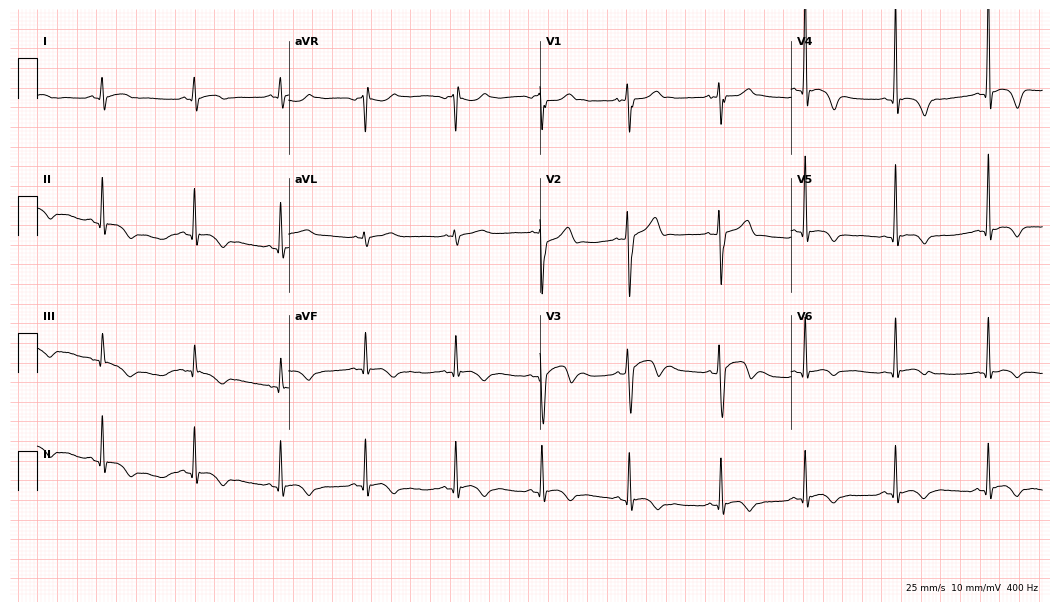
12-lead ECG from a 17-year-old man. Screened for six findings — first-degree AV block, right bundle branch block, left bundle branch block, sinus bradycardia, atrial fibrillation, sinus tachycardia — none is recorded. Only these six findings were labelled.